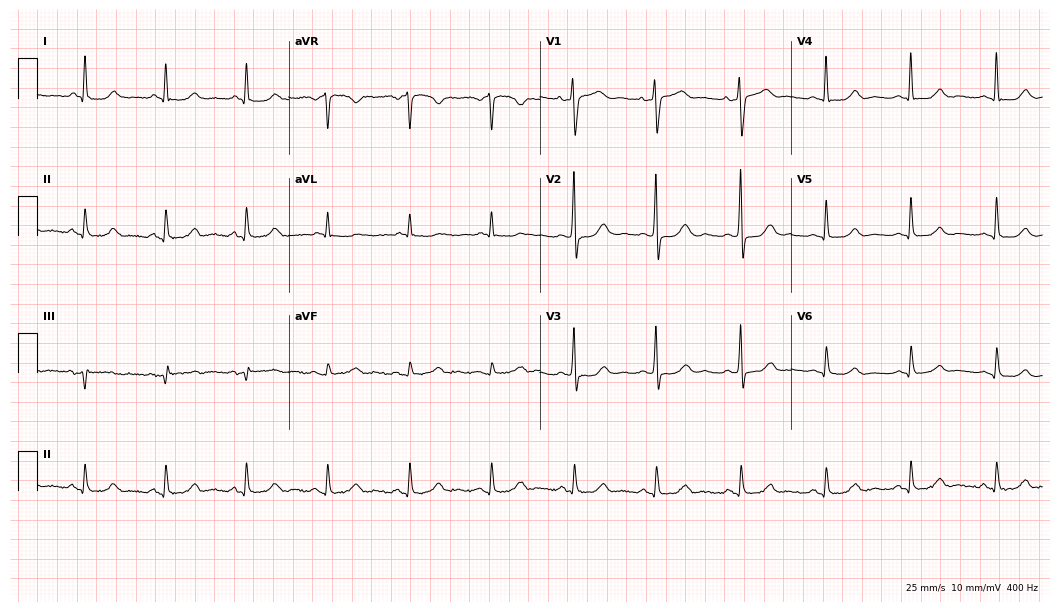
Standard 12-lead ECG recorded from a woman, 69 years old (10.2-second recording at 400 Hz). Read as a normal ECG.